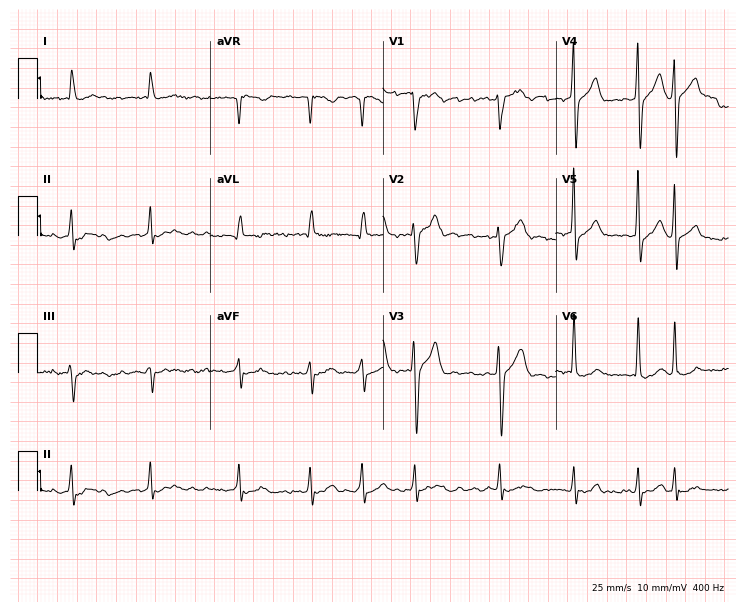
12-lead ECG from a male, 61 years old (7-second recording at 400 Hz). Shows atrial fibrillation (AF).